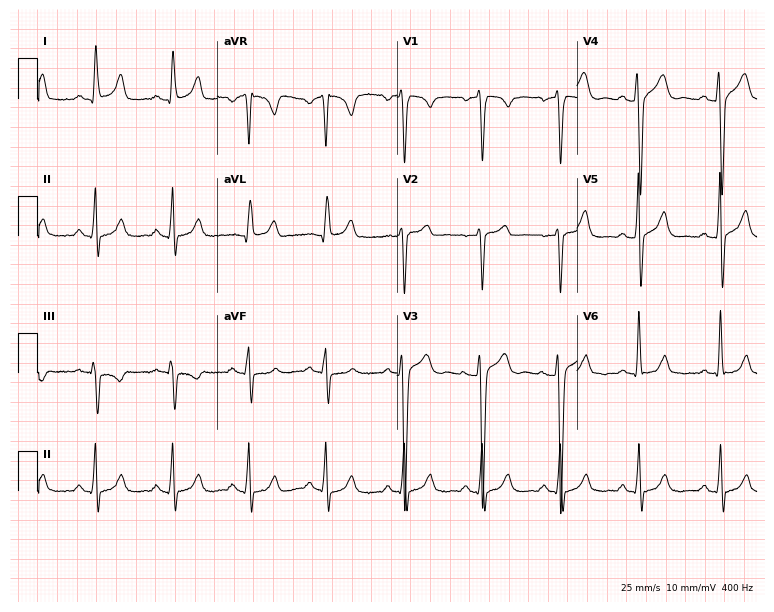
12-lead ECG from a 24-year-old man. Recorded interpretation: within normal limits.